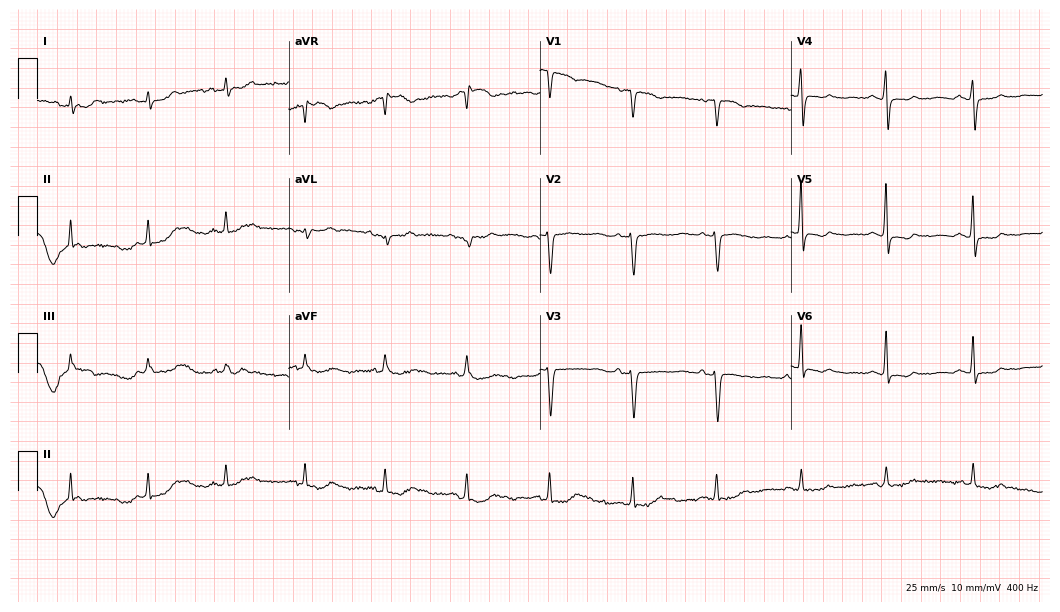
12-lead ECG from a 75-year-old woman. Screened for six findings — first-degree AV block, right bundle branch block (RBBB), left bundle branch block (LBBB), sinus bradycardia, atrial fibrillation (AF), sinus tachycardia — none is recorded. Findings outside these six are not listed.